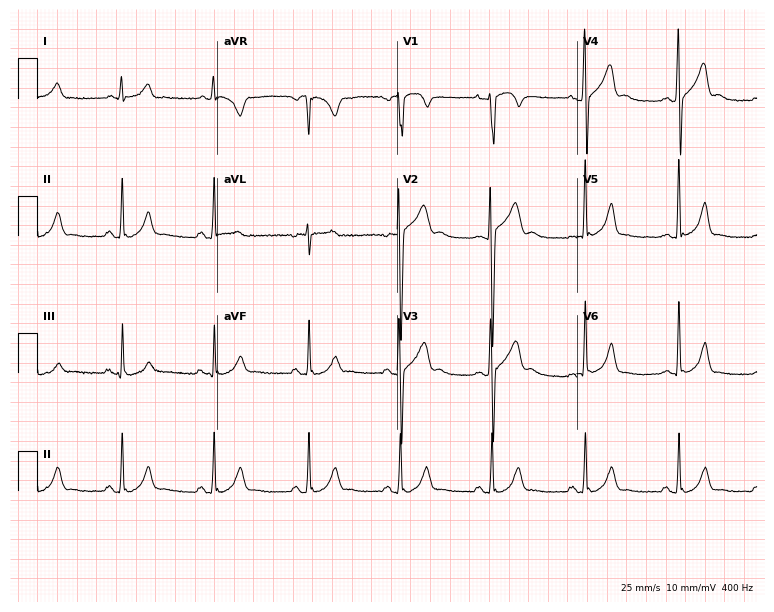
12-lead ECG from a 34-year-old man. Recorded interpretation: within normal limits.